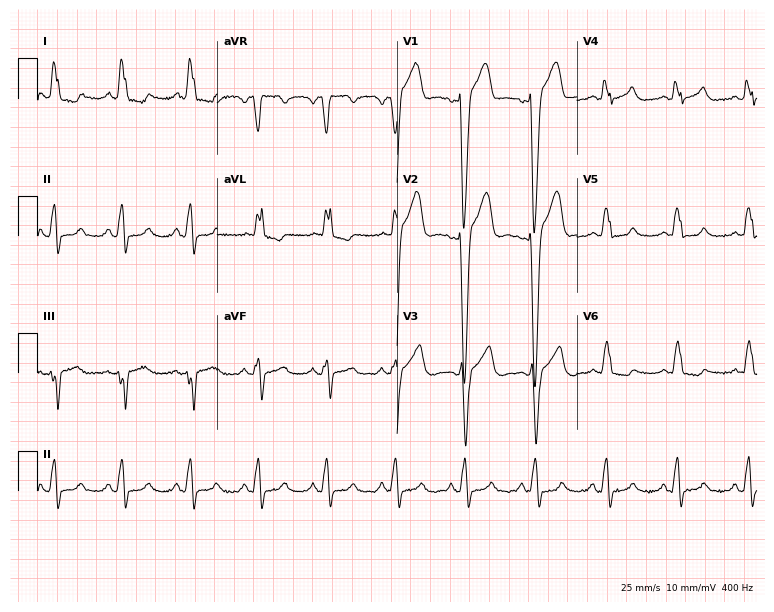
Electrocardiogram, a 60-year-old female patient. Interpretation includes left bundle branch block.